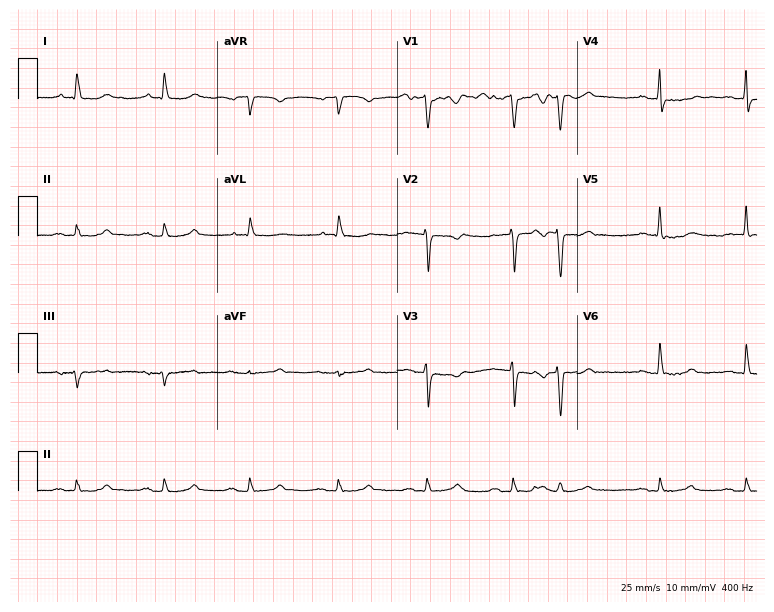
ECG — a man, 83 years old. Screened for six findings — first-degree AV block, right bundle branch block, left bundle branch block, sinus bradycardia, atrial fibrillation, sinus tachycardia — none is recorded.